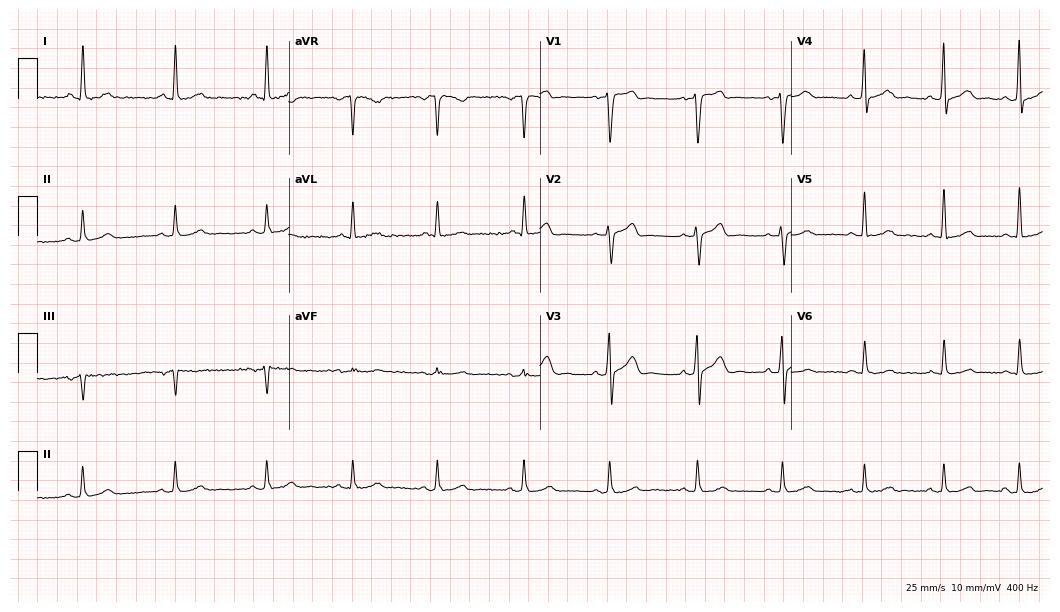
12-lead ECG (10.2-second recording at 400 Hz) from a male patient, 43 years old. Screened for six findings — first-degree AV block, right bundle branch block (RBBB), left bundle branch block (LBBB), sinus bradycardia, atrial fibrillation (AF), sinus tachycardia — none is recorded.